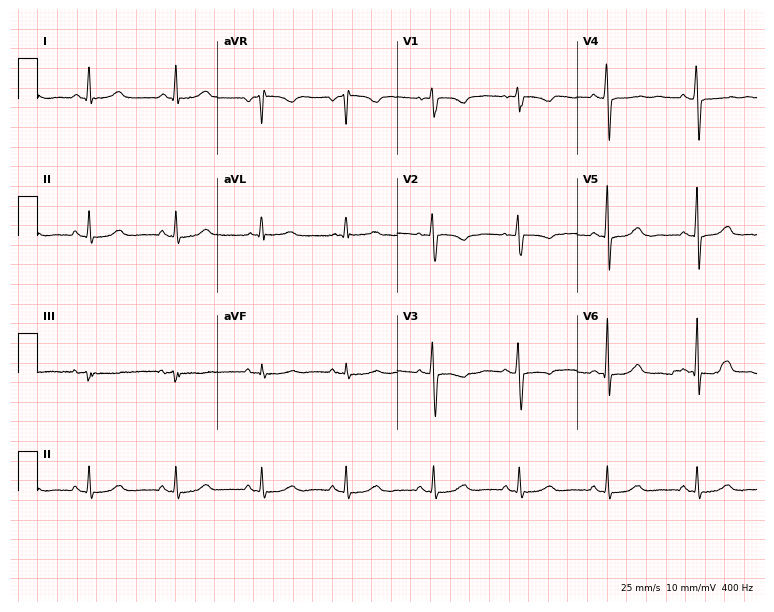
12-lead ECG (7.3-second recording at 400 Hz) from a female, 44 years old. Labelled as a normal ECG.